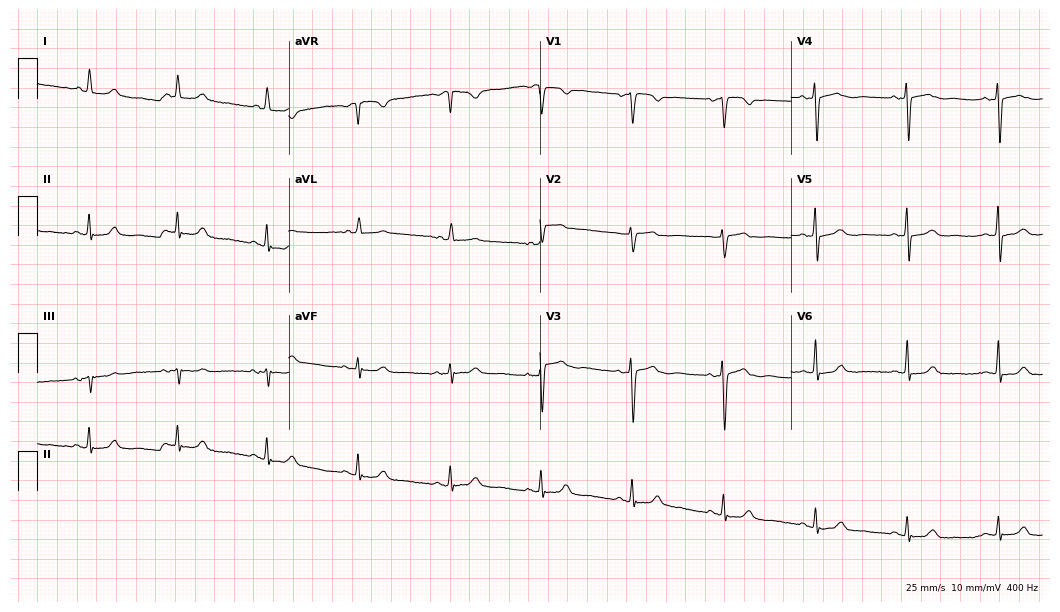
Electrocardiogram, a woman, 59 years old. Overall reading on record: normal ECG.